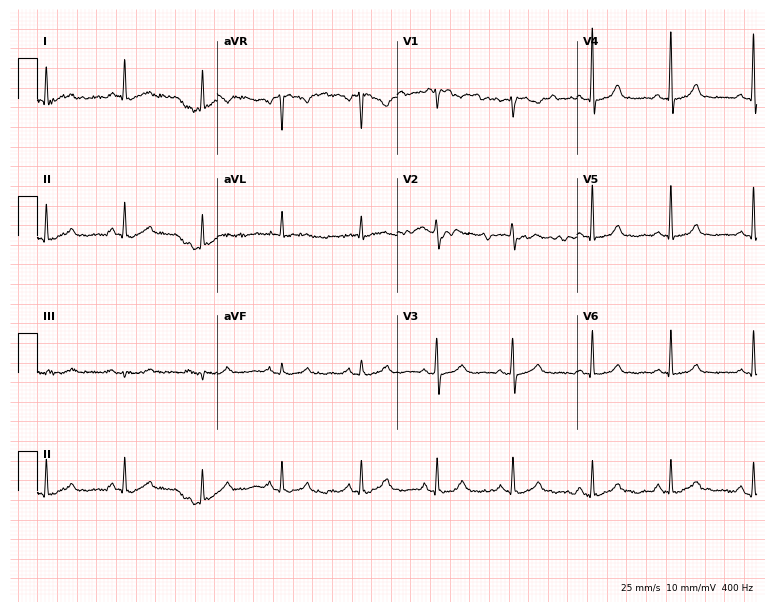
ECG (7.3-second recording at 400 Hz) — a 66-year-old female patient. Screened for six findings — first-degree AV block, right bundle branch block, left bundle branch block, sinus bradycardia, atrial fibrillation, sinus tachycardia — none is recorded.